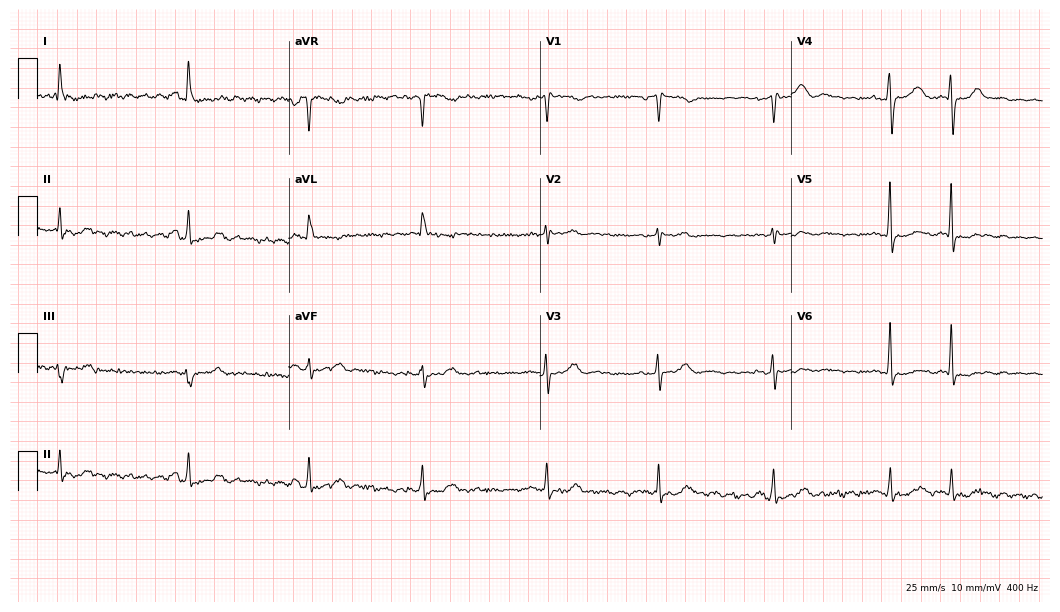
Electrocardiogram, a 56-year-old woman. Of the six screened findings (first-degree AV block, right bundle branch block, left bundle branch block, sinus bradycardia, atrial fibrillation, sinus tachycardia), none is recorded.